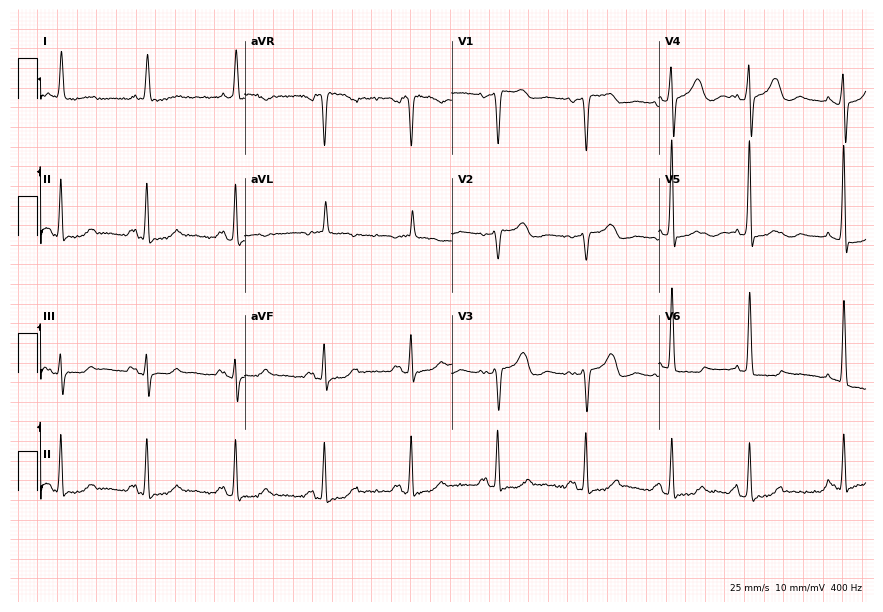
ECG (8.4-second recording at 400 Hz) — a female patient, 71 years old. Screened for six findings — first-degree AV block, right bundle branch block, left bundle branch block, sinus bradycardia, atrial fibrillation, sinus tachycardia — none is recorded.